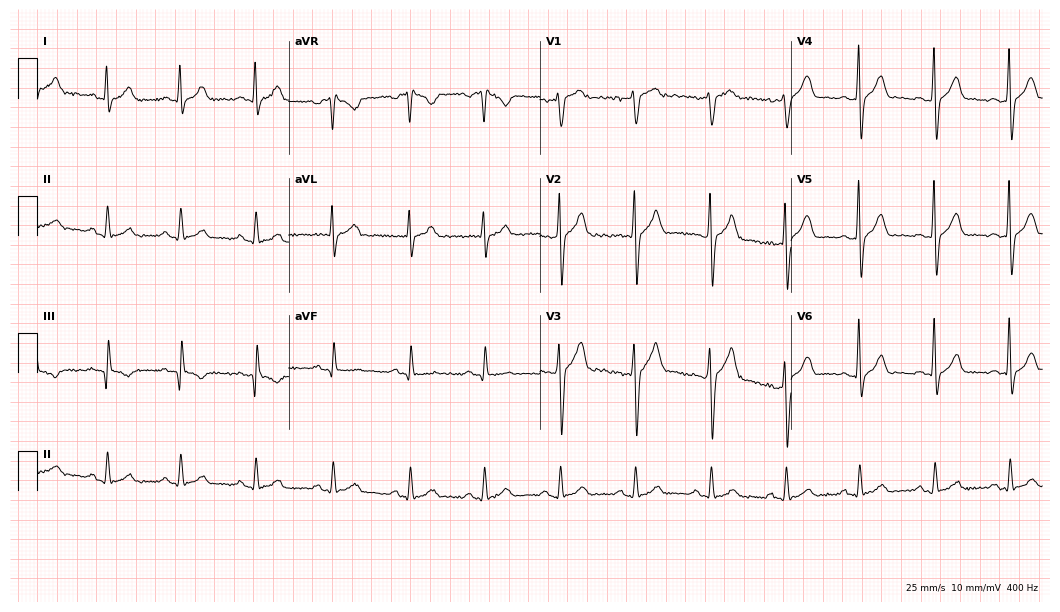
12-lead ECG from a 47-year-old male patient (10.2-second recording at 400 Hz). Recorded interpretation: within normal limits.